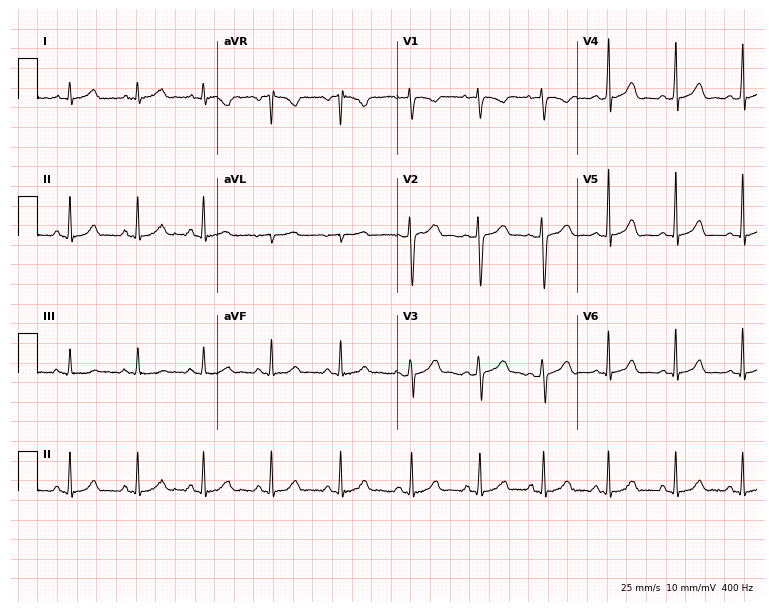
12-lead ECG from a woman, 27 years old. Recorded interpretation: within normal limits.